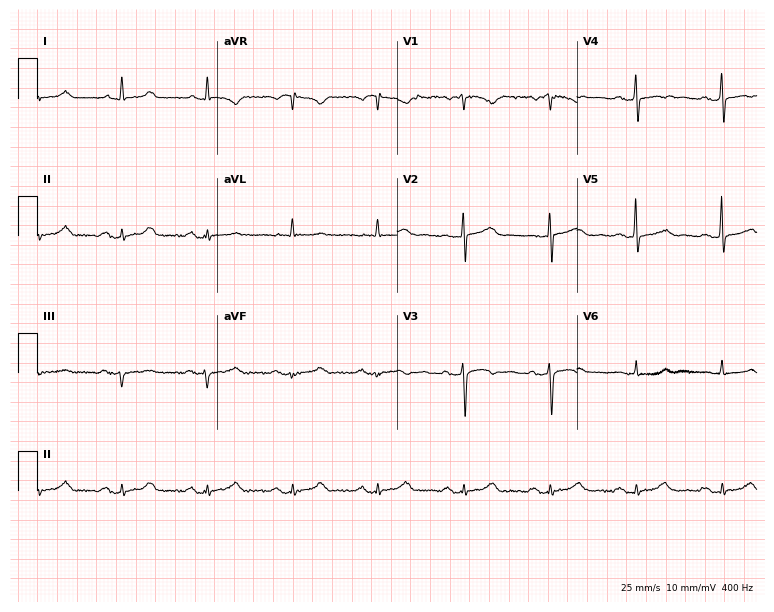
12-lead ECG from a female, 62 years old. Shows first-degree AV block.